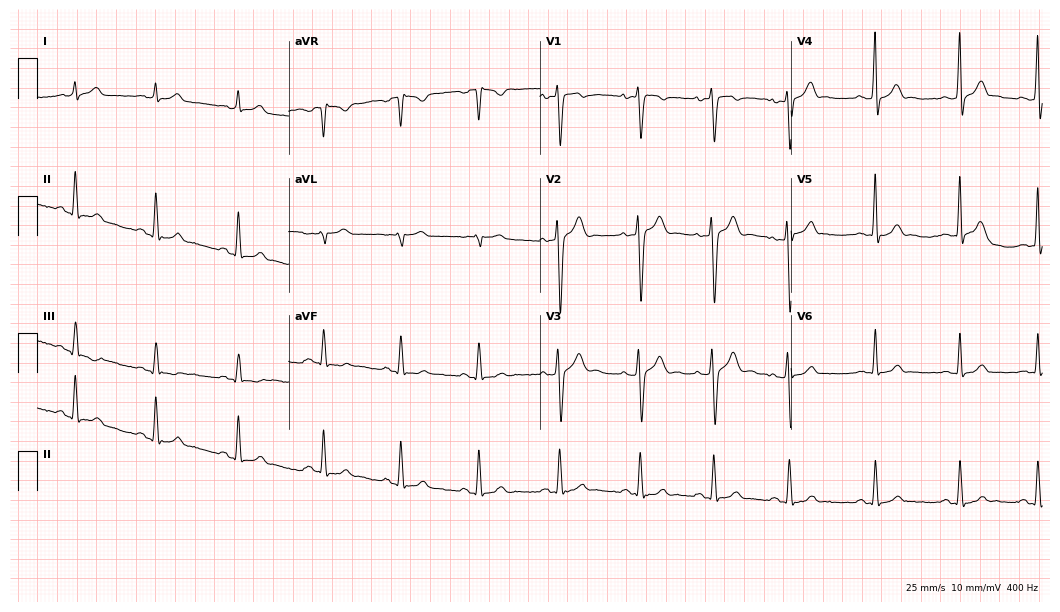
Resting 12-lead electrocardiogram (10.2-second recording at 400 Hz). Patient: a man, 23 years old. None of these six findings is recorded: first-degree AV block, right bundle branch block, left bundle branch block, sinus bradycardia, atrial fibrillation, sinus tachycardia.